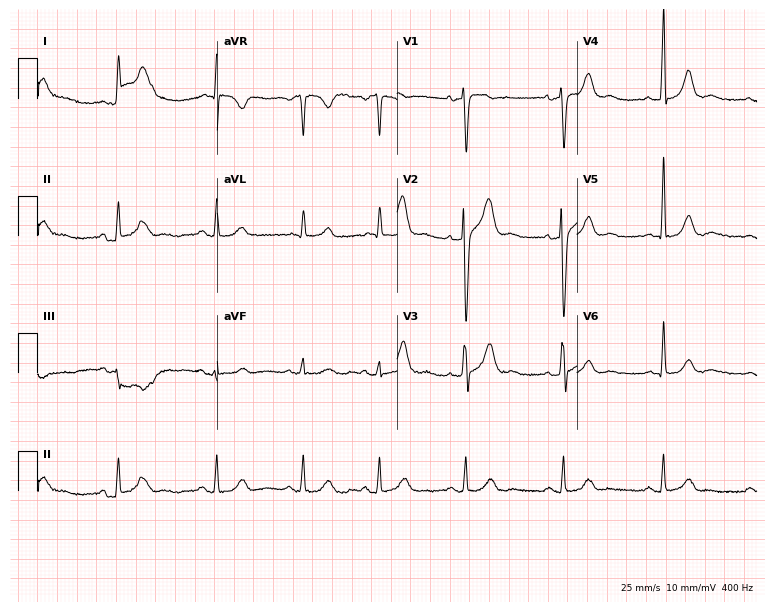
12-lead ECG from a male, 48 years old. Screened for six findings — first-degree AV block, right bundle branch block, left bundle branch block, sinus bradycardia, atrial fibrillation, sinus tachycardia — none is recorded. Other findings, if any, are not listed.